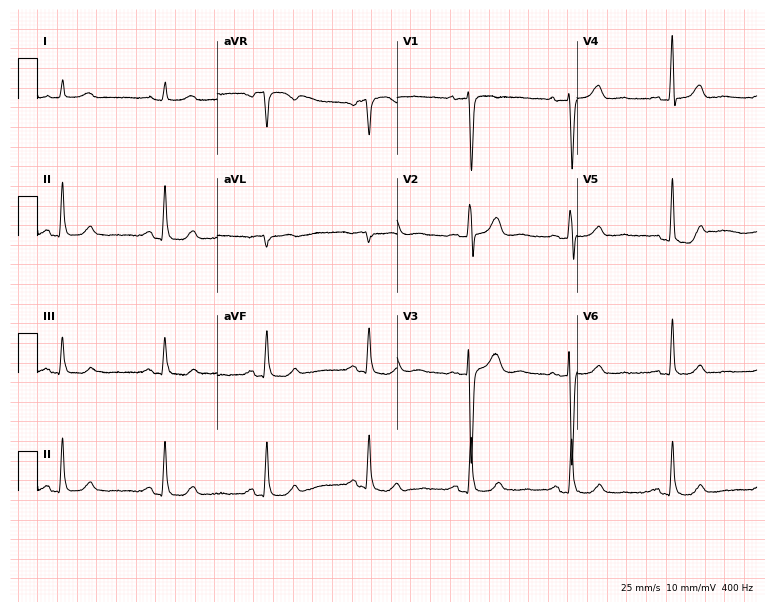
12-lead ECG from a 62-year-old male patient. No first-degree AV block, right bundle branch block, left bundle branch block, sinus bradycardia, atrial fibrillation or sinus tachycardia recorded for this tracing.